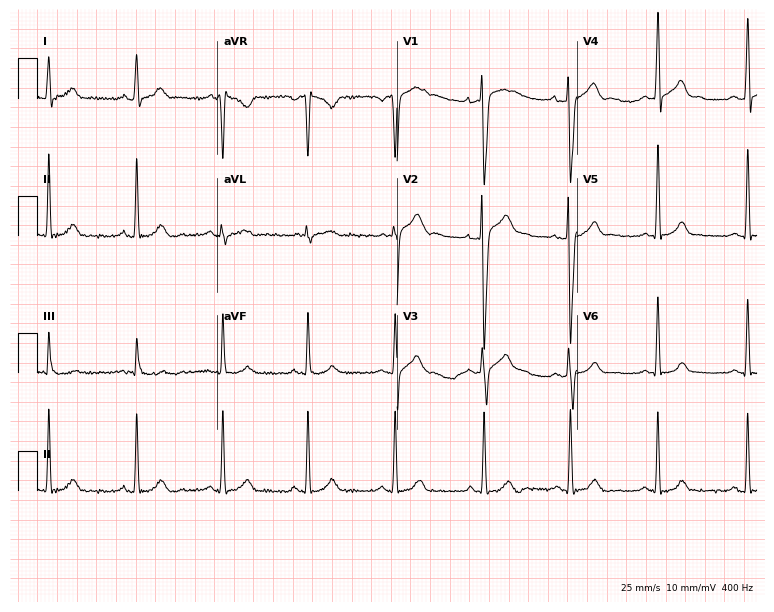
Standard 12-lead ECG recorded from a 32-year-old male (7.3-second recording at 400 Hz). None of these six findings is recorded: first-degree AV block, right bundle branch block, left bundle branch block, sinus bradycardia, atrial fibrillation, sinus tachycardia.